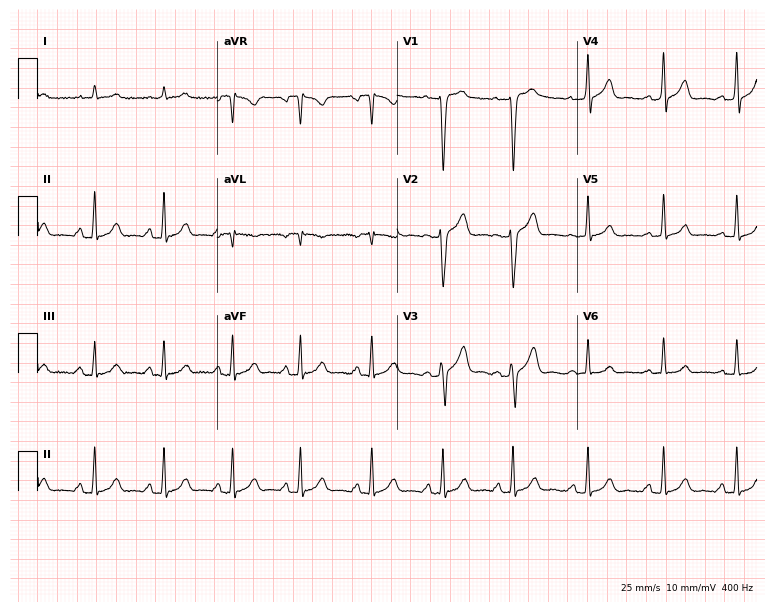
12-lead ECG (7.3-second recording at 400 Hz) from a man, 33 years old. Labelled as a normal ECG.